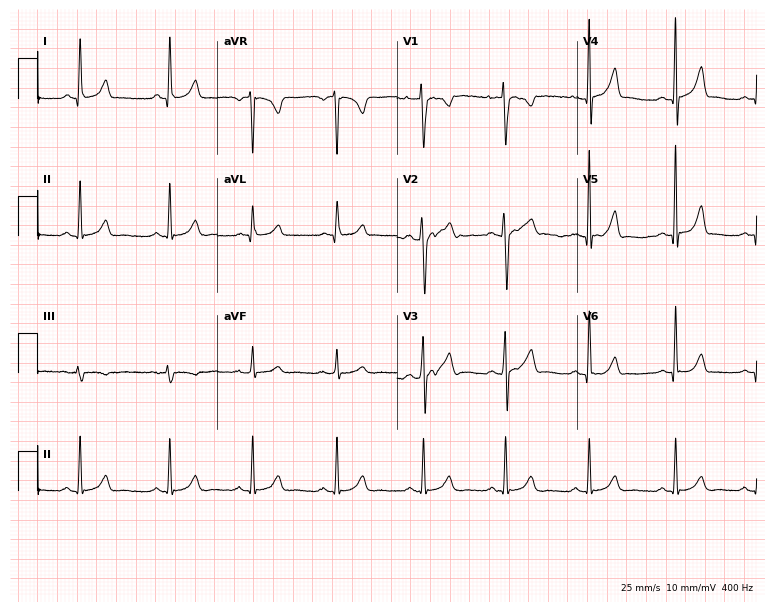
Standard 12-lead ECG recorded from a female patient, 31 years old. None of these six findings is recorded: first-degree AV block, right bundle branch block (RBBB), left bundle branch block (LBBB), sinus bradycardia, atrial fibrillation (AF), sinus tachycardia.